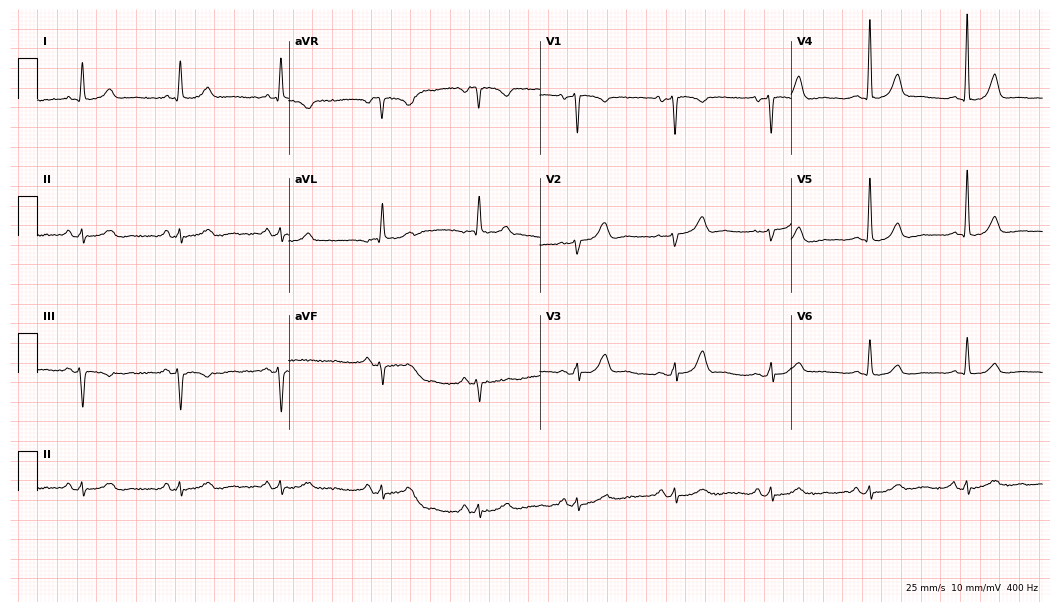
Electrocardiogram, a 65-year-old female patient. Overall reading on record: normal ECG.